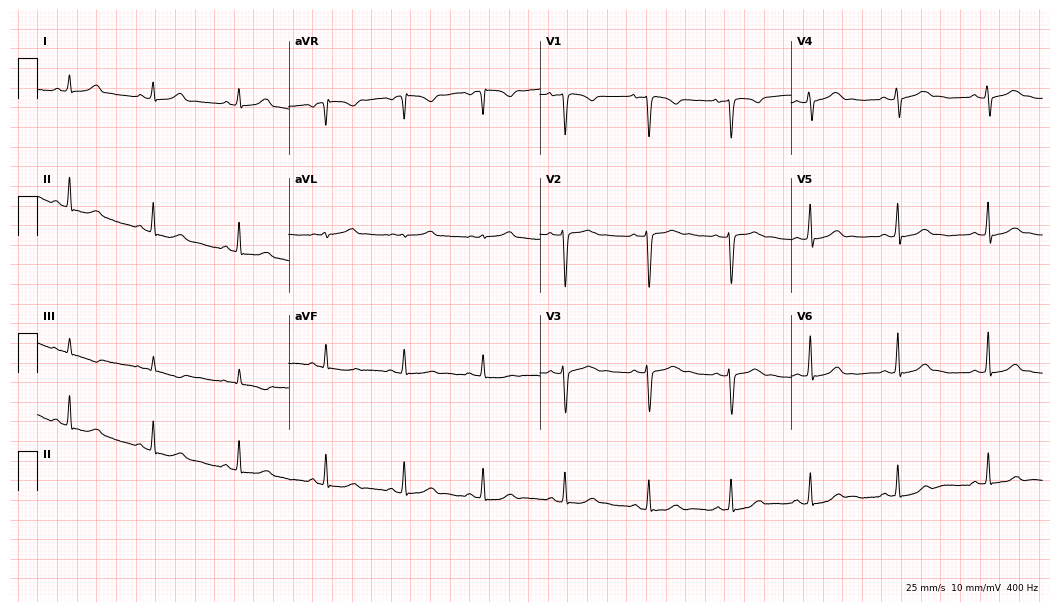
Electrocardiogram, a 38-year-old female. Overall reading on record: normal ECG.